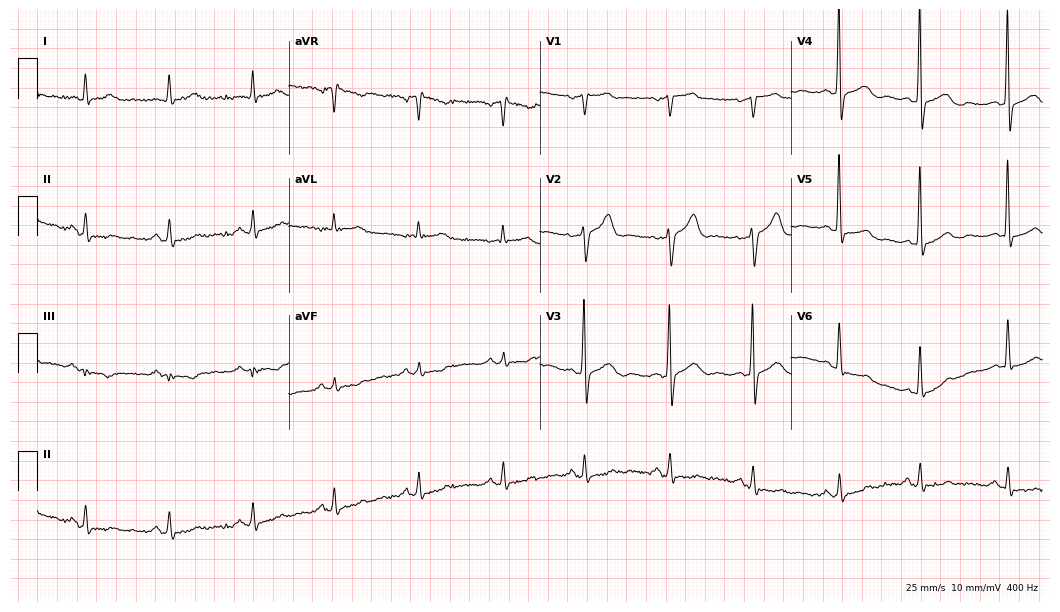
12-lead ECG from a male, 70 years old (10.2-second recording at 400 Hz). Recorded interpretation: within normal limits.